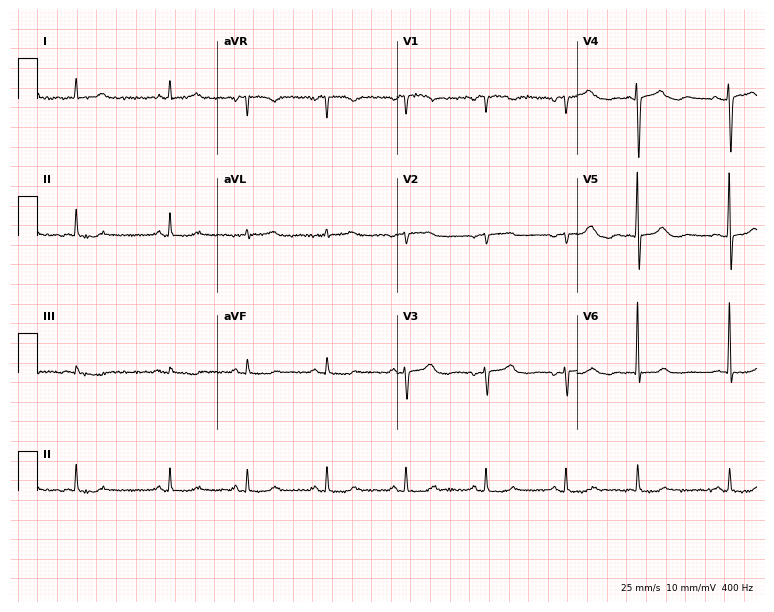
12-lead ECG from an 84-year-old female (7.3-second recording at 400 Hz). No first-degree AV block, right bundle branch block (RBBB), left bundle branch block (LBBB), sinus bradycardia, atrial fibrillation (AF) or sinus tachycardia recorded for this tracing. Findings outside these six are not listed.